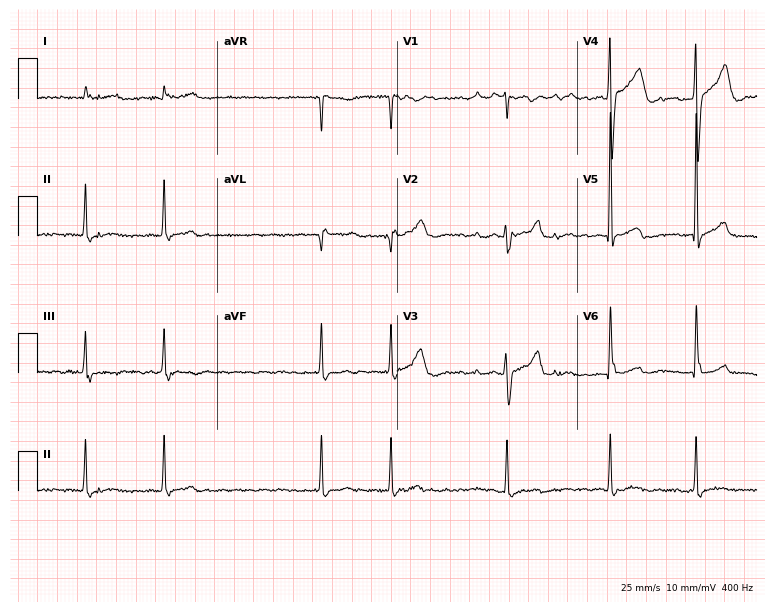
Electrocardiogram, a male patient, 84 years old. Interpretation includes atrial fibrillation.